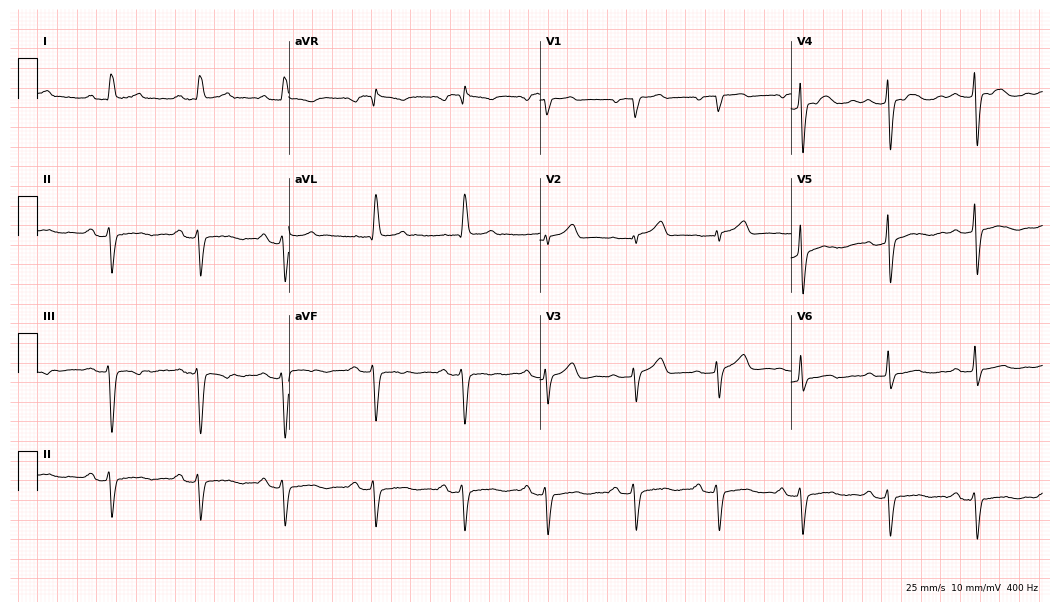
ECG — a 71-year-old female. Findings include first-degree AV block.